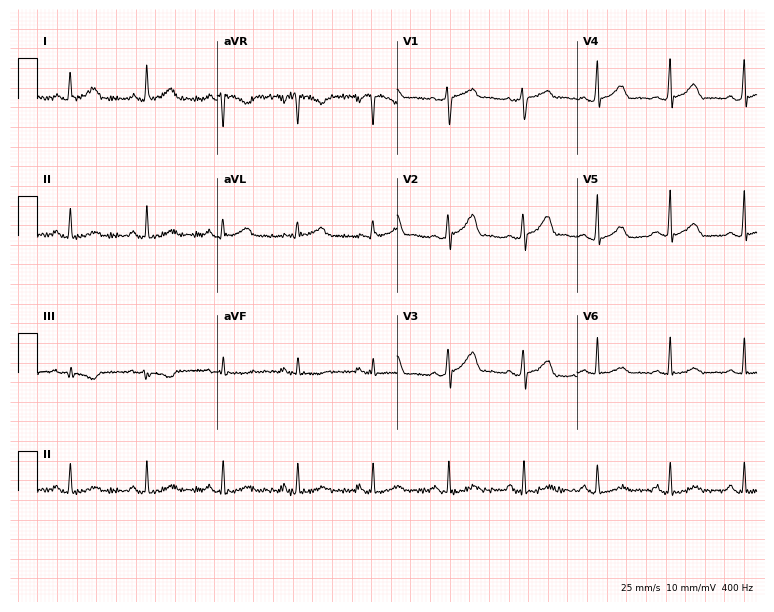
Standard 12-lead ECG recorded from a 50-year-old female patient (7.3-second recording at 400 Hz). None of these six findings is recorded: first-degree AV block, right bundle branch block, left bundle branch block, sinus bradycardia, atrial fibrillation, sinus tachycardia.